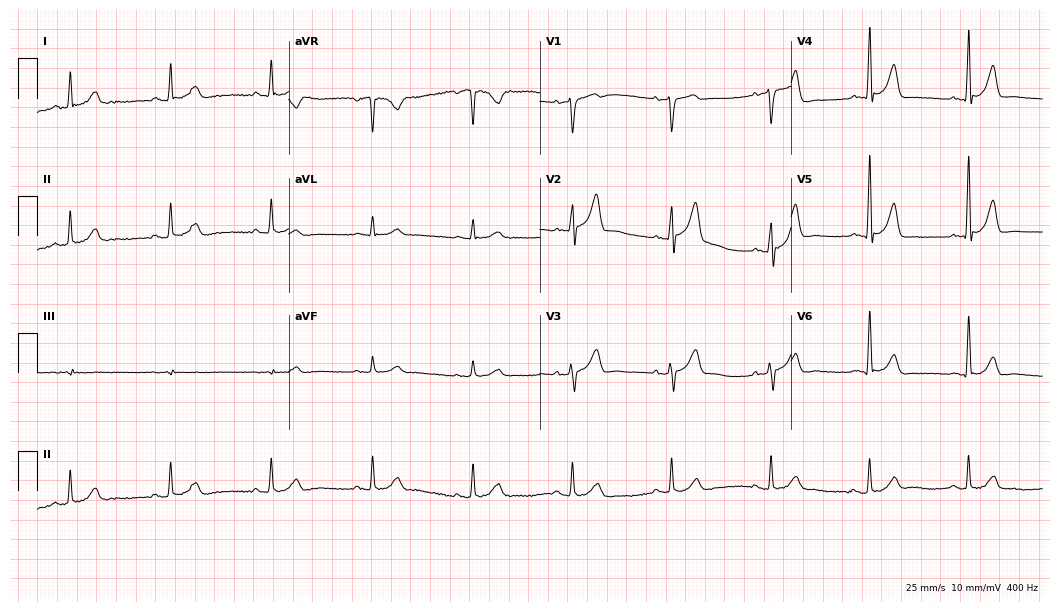
Standard 12-lead ECG recorded from a male patient, 76 years old. None of these six findings is recorded: first-degree AV block, right bundle branch block, left bundle branch block, sinus bradycardia, atrial fibrillation, sinus tachycardia. Other findings, if any, are not listed.